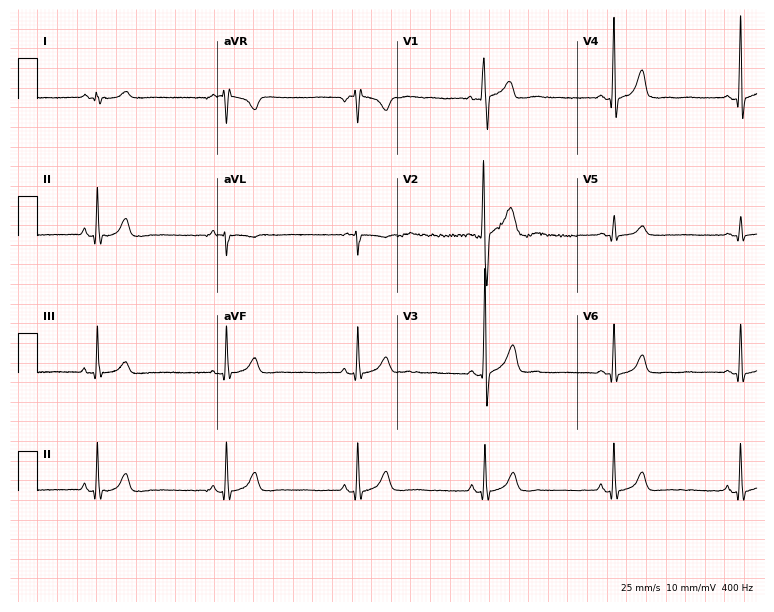
Standard 12-lead ECG recorded from a male patient, 18 years old. None of these six findings is recorded: first-degree AV block, right bundle branch block, left bundle branch block, sinus bradycardia, atrial fibrillation, sinus tachycardia. Only these six findings were labelled.